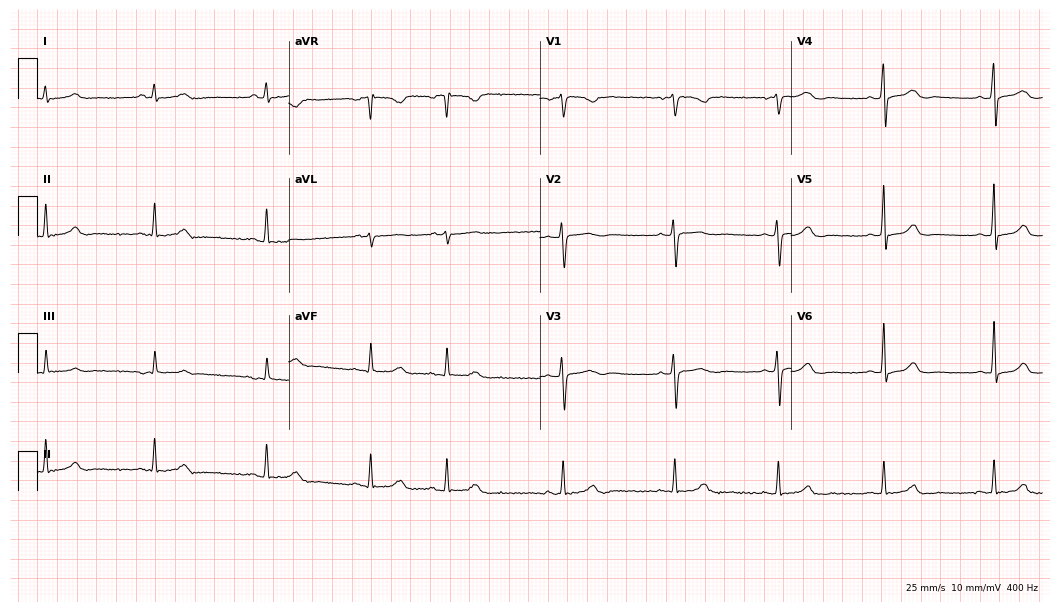
Standard 12-lead ECG recorded from a female, 49 years old. None of these six findings is recorded: first-degree AV block, right bundle branch block, left bundle branch block, sinus bradycardia, atrial fibrillation, sinus tachycardia. Other findings, if any, are not listed.